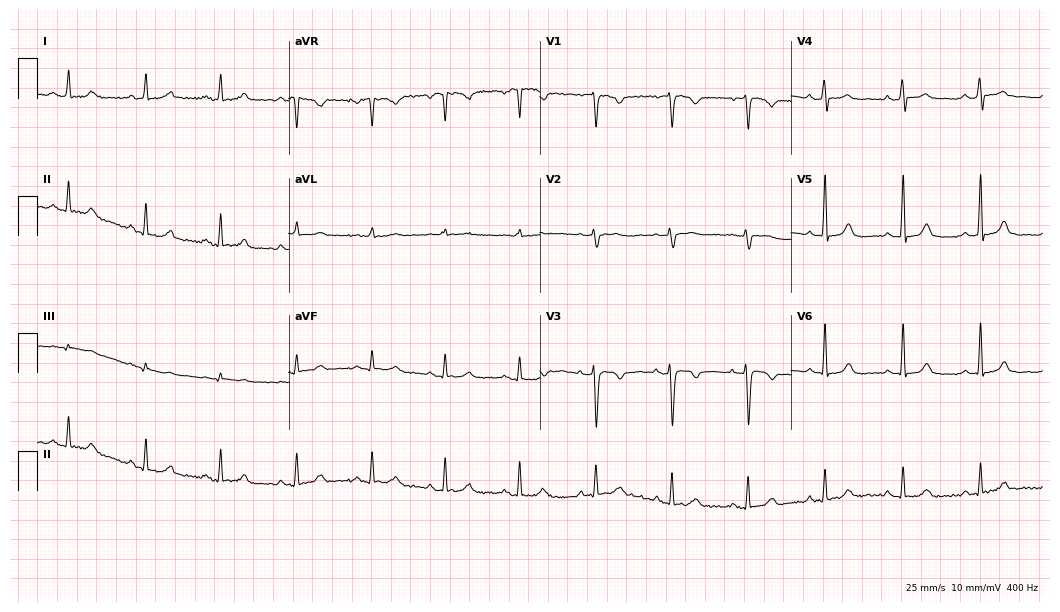
12-lead ECG (10.2-second recording at 400 Hz) from a female, 50 years old. Labelled as a normal ECG.